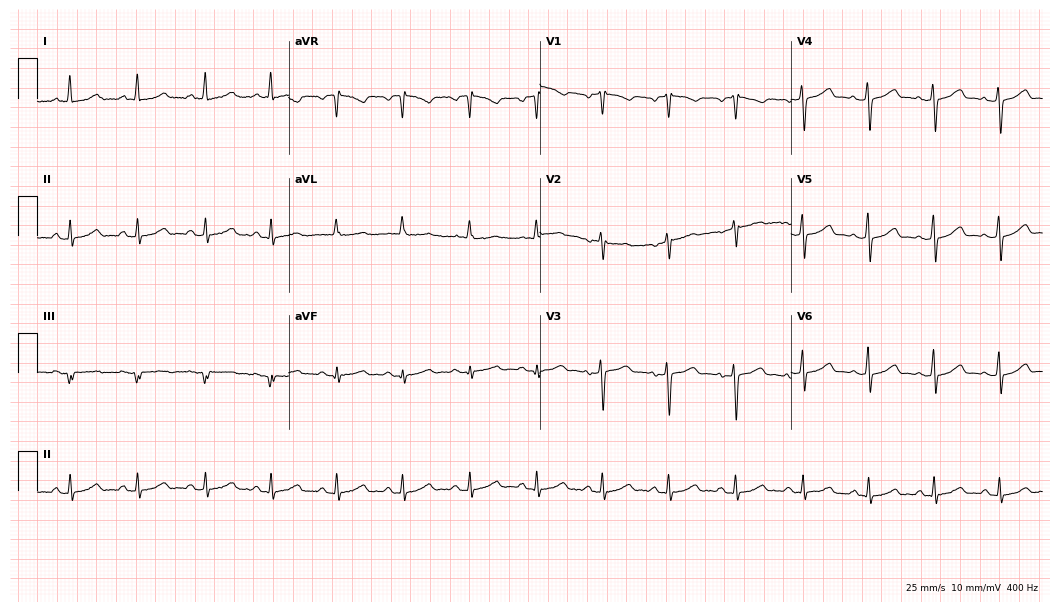
Resting 12-lead electrocardiogram (10.2-second recording at 400 Hz). Patient: a 43-year-old woman. Read as a normal ECG.